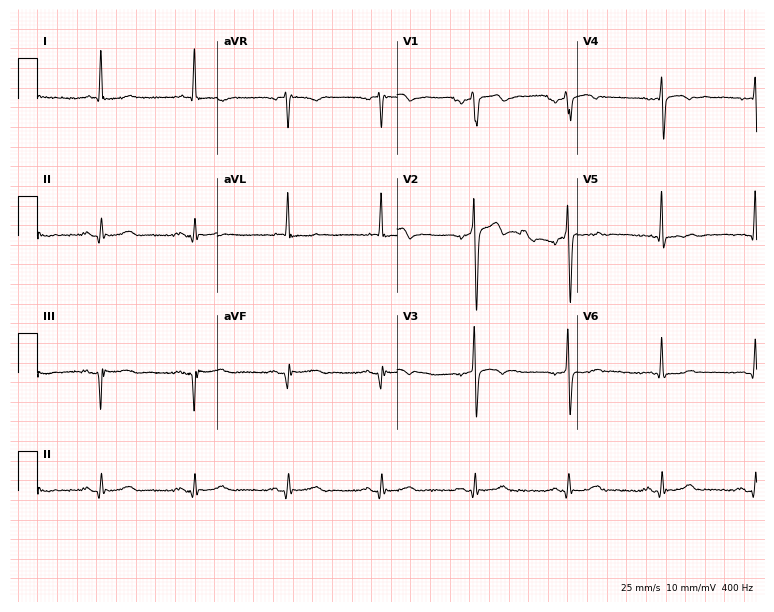
Electrocardiogram (7.3-second recording at 400 Hz), a 58-year-old man. Of the six screened findings (first-degree AV block, right bundle branch block, left bundle branch block, sinus bradycardia, atrial fibrillation, sinus tachycardia), none is recorded. Only these six findings were labelled.